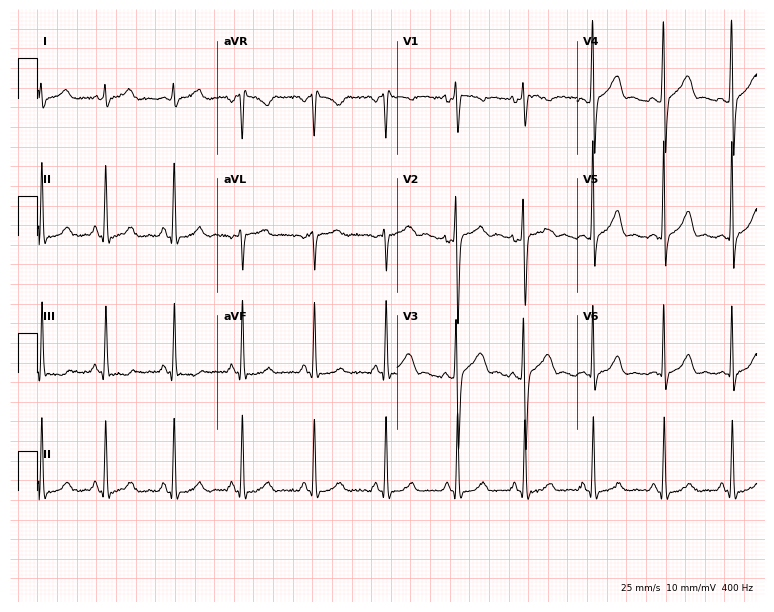
ECG (7.3-second recording at 400 Hz) — a 20-year-old man. Labelled as a normal ECG.